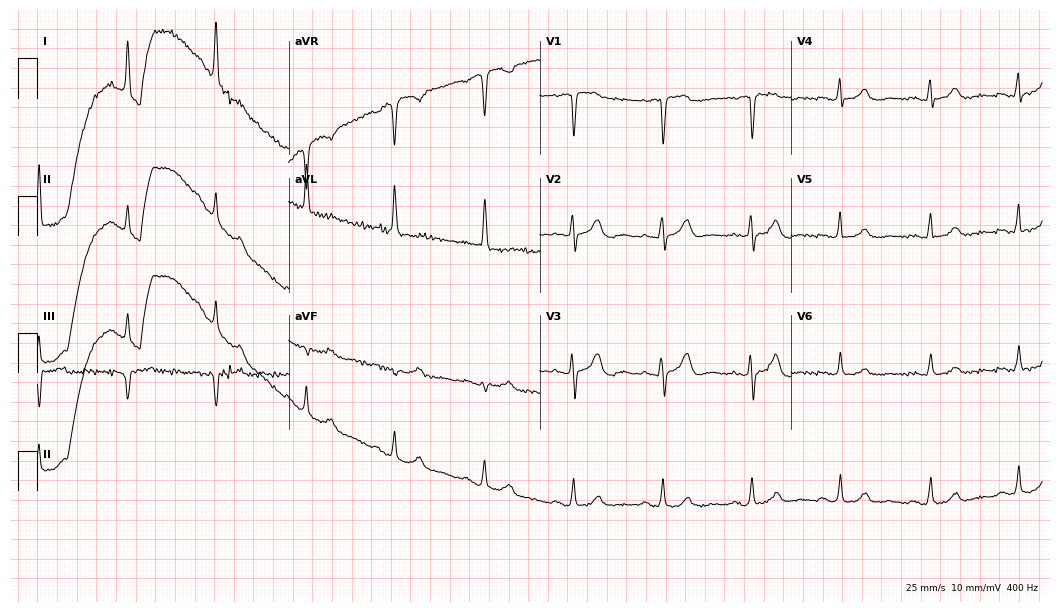
12-lead ECG (10.2-second recording at 400 Hz) from an 82-year-old female. Screened for six findings — first-degree AV block, right bundle branch block, left bundle branch block, sinus bradycardia, atrial fibrillation, sinus tachycardia — none is recorded. Only these six findings were labelled.